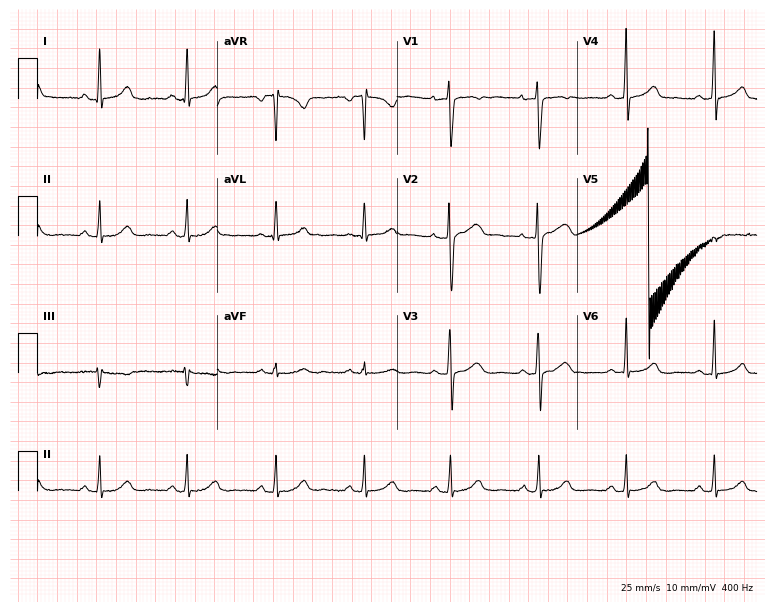
ECG (7.3-second recording at 400 Hz) — a 41-year-old female. Screened for six findings — first-degree AV block, right bundle branch block, left bundle branch block, sinus bradycardia, atrial fibrillation, sinus tachycardia — none is recorded. Findings outside these six are not listed.